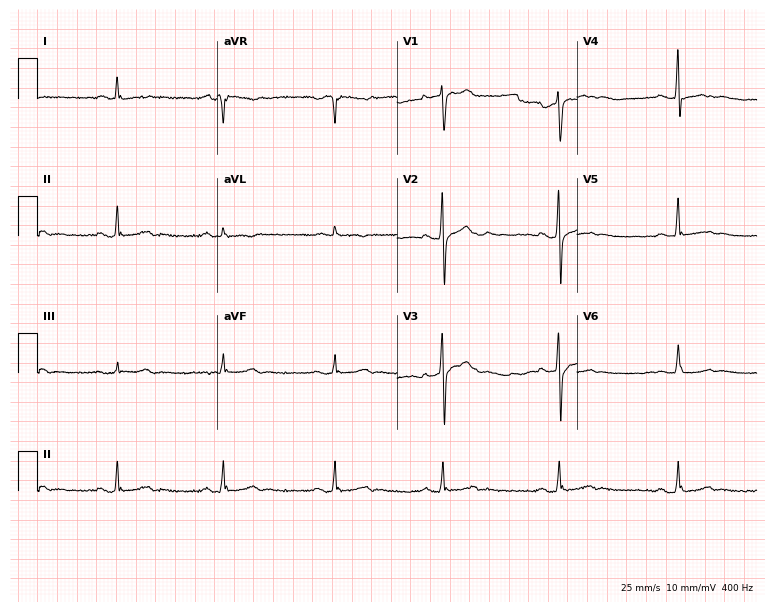
ECG — a 68-year-old man. Screened for six findings — first-degree AV block, right bundle branch block (RBBB), left bundle branch block (LBBB), sinus bradycardia, atrial fibrillation (AF), sinus tachycardia — none is recorded.